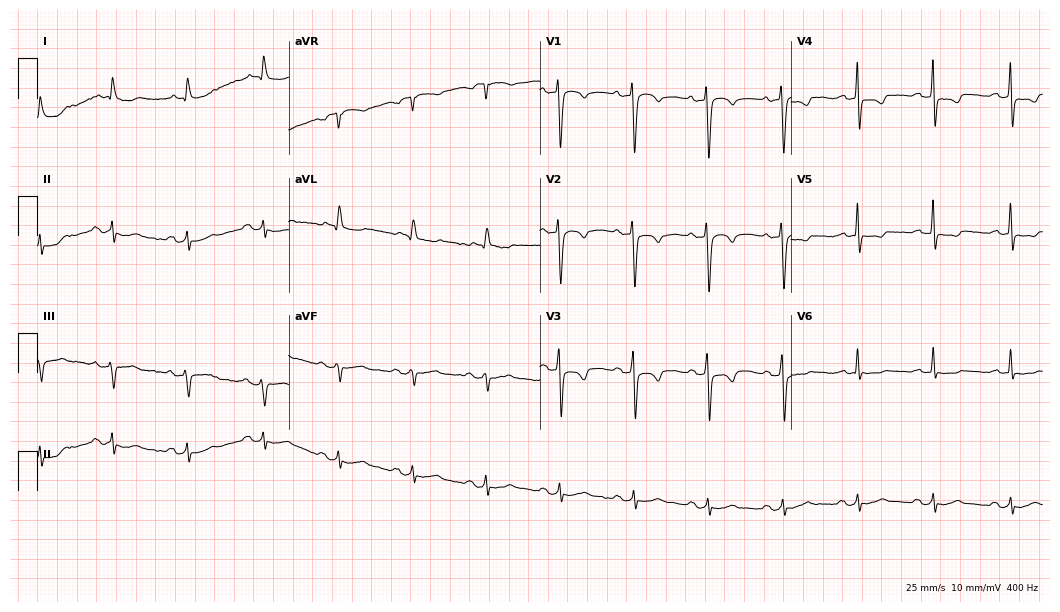
Standard 12-lead ECG recorded from a female patient, 75 years old. None of these six findings is recorded: first-degree AV block, right bundle branch block (RBBB), left bundle branch block (LBBB), sinus bradycardia, atrial fibrillation (AF), sinus tachycardia. Other findings, if any, are not listed.